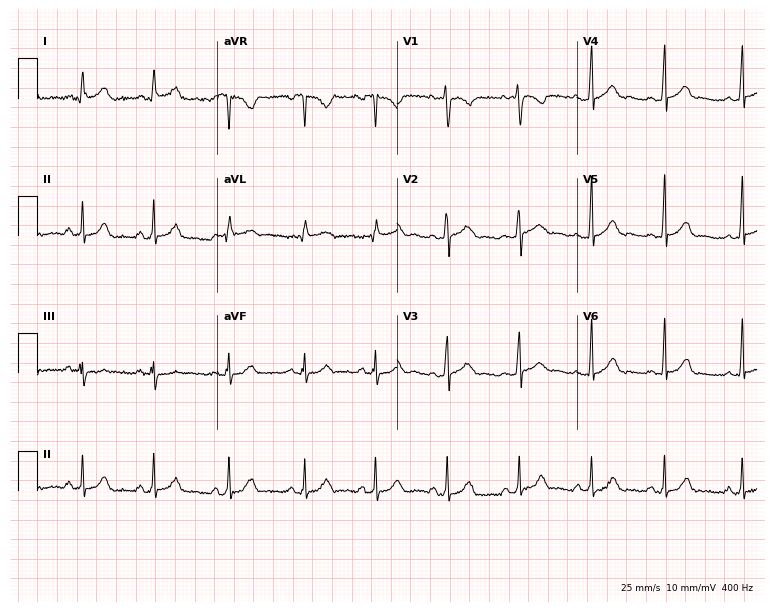
12-lead ECG from a 23-year-old female patient (7.3-second recording at 400 Hz). Recorded interpretation: within normal limits.